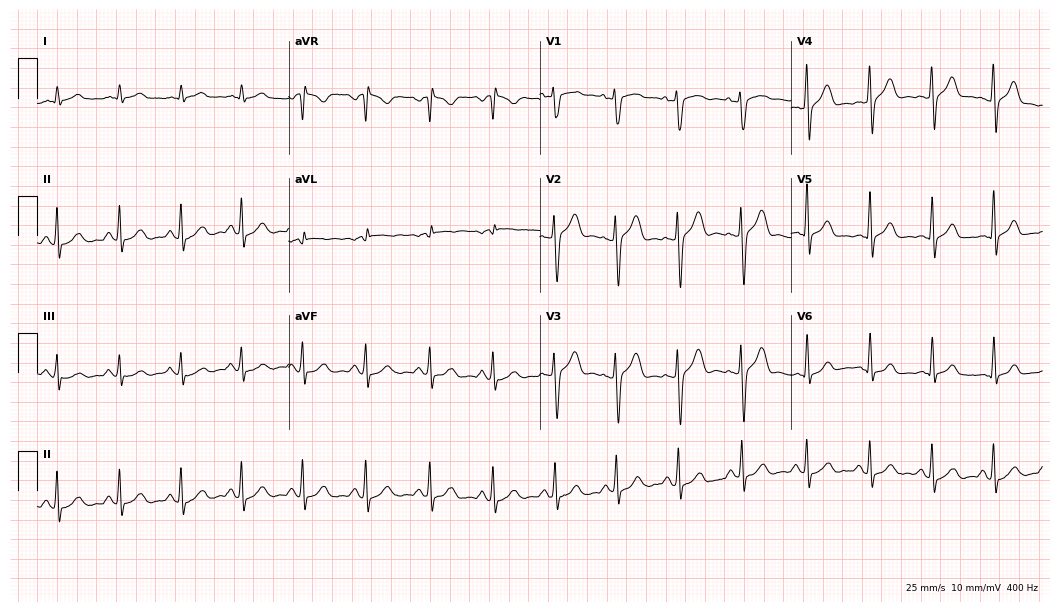
12-lead ECG from a 36-year-old male patient. Recorded interpretation: within normal limits.